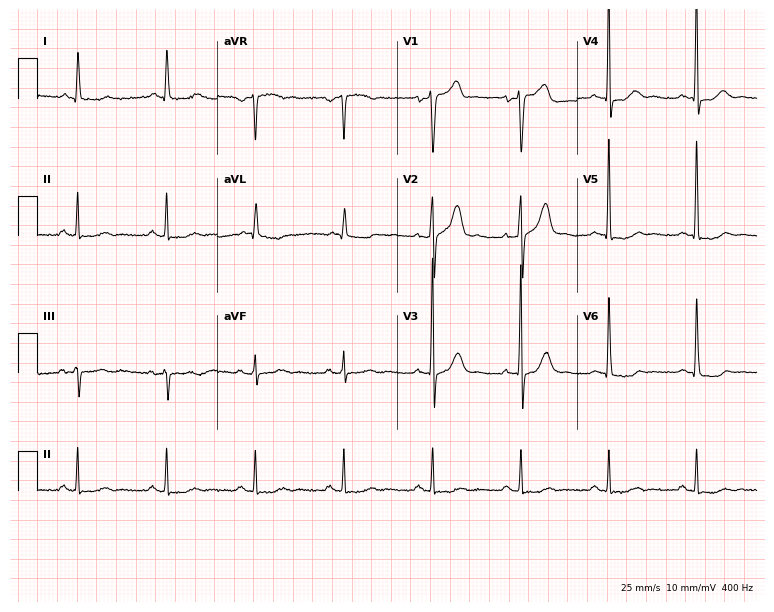
12-lead ECG (7.3-second recording at 400 Hz) from a 66-year-old man. Screened for six findings — first-degree AV block, right bundle branch block, left bundle branch block, sinus bradycardia, atrial fibrillation, sinus tachycardia — none is recorded.